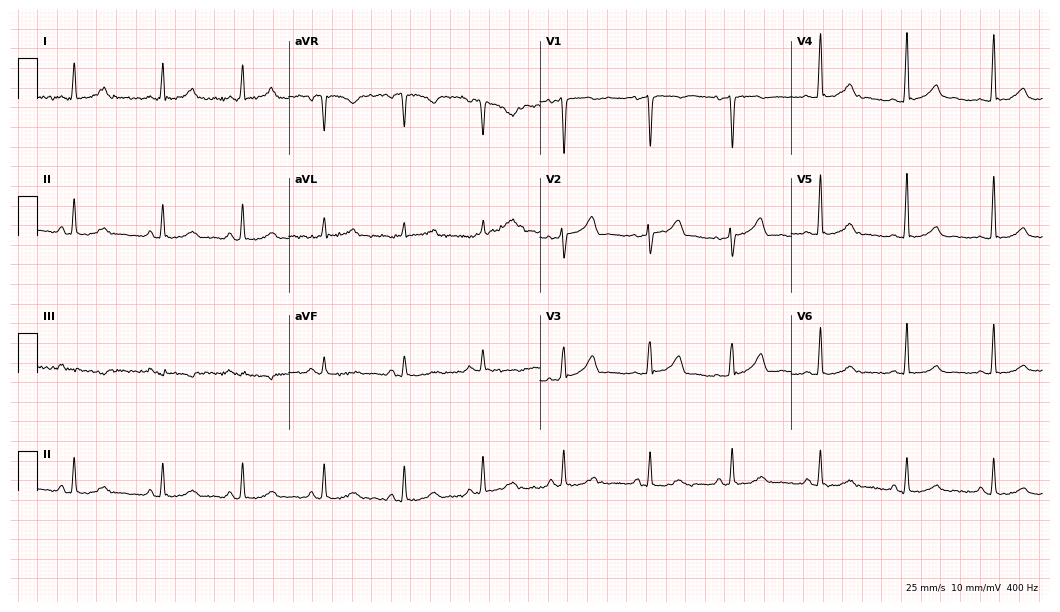
12-lead ECG (10.2-second recording at 400 Hz) from a 41-year-old female patient. Labelled as a normal ECG.